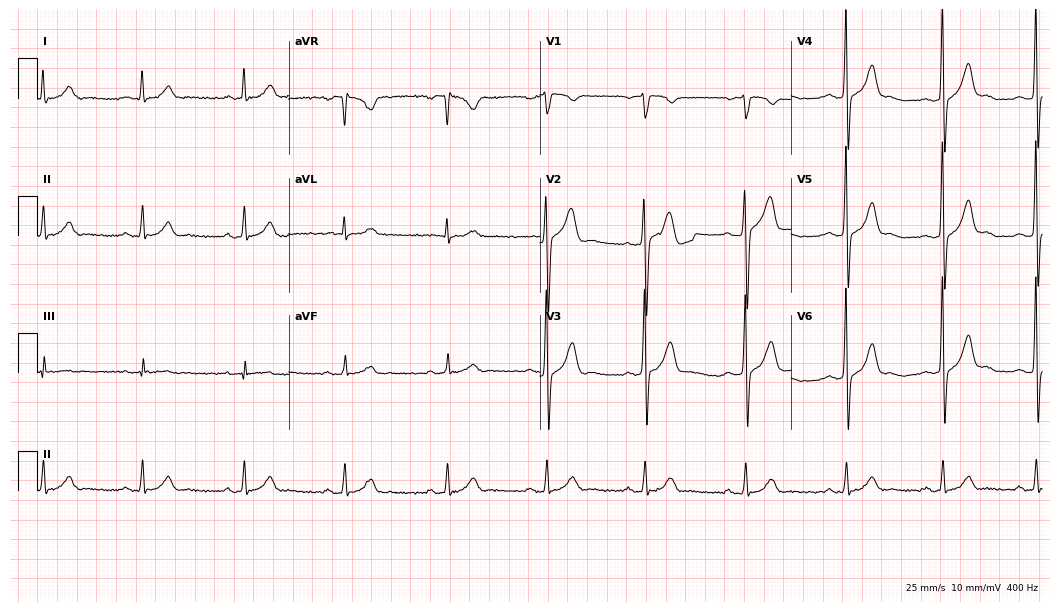
Standard 12-lead ECG recorded from a male patient, 56 years old. None of these six findings is recorded: first-degree AV block, right bundle branch block, left bundle branch block, sinus bradycardia, atrial fibrillation, sinus tachycardia. Findings outside these six are not listed.